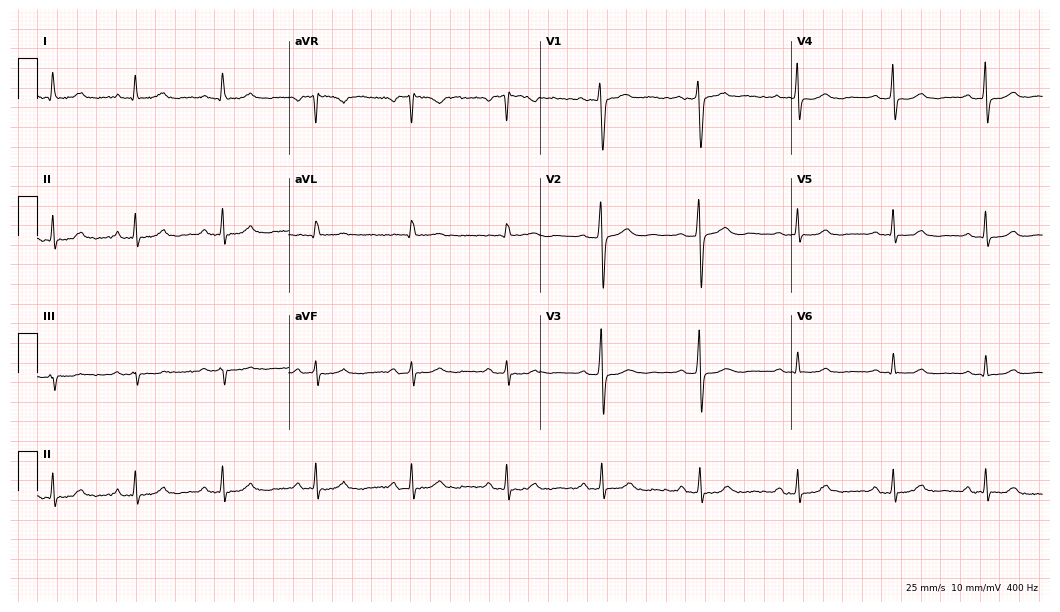
ECG (10.2-second recording at 400 Hz) — a 41-year-old female. Screened for six findings — first-degree AV block, right bundle branch block, left bundle branch block, sinus bradycardia, atrial fibrillation, sinus tachycardia — none is recorded.